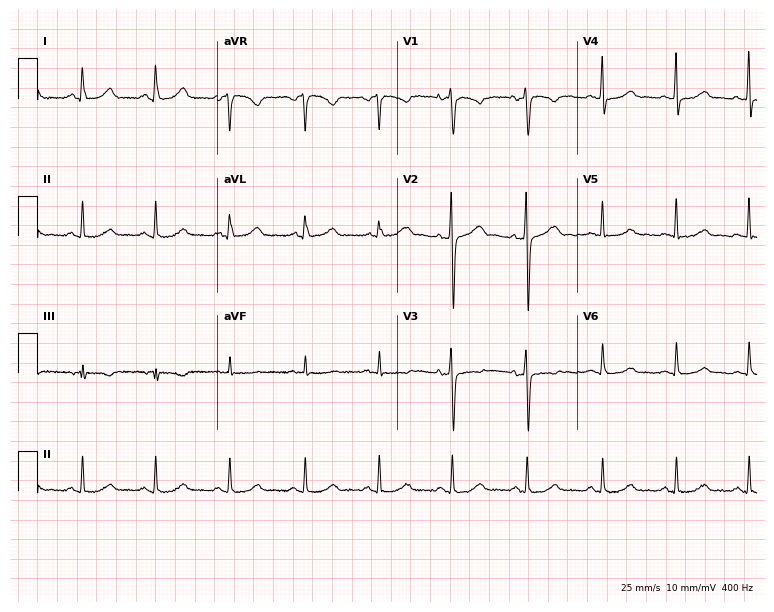
12-lead ECG from a 39-year-old woman (7.3-second recording at 400 Hz). Recorded interpretation: within normal limits.